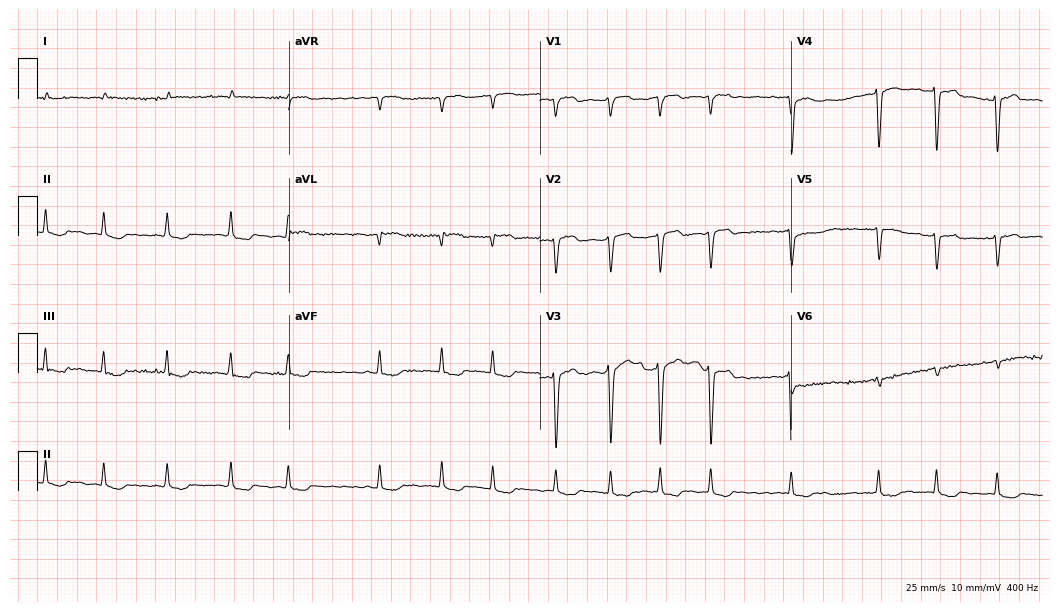
12-lead ECG from a male, 82 years old. Shows atrial fibrillation.